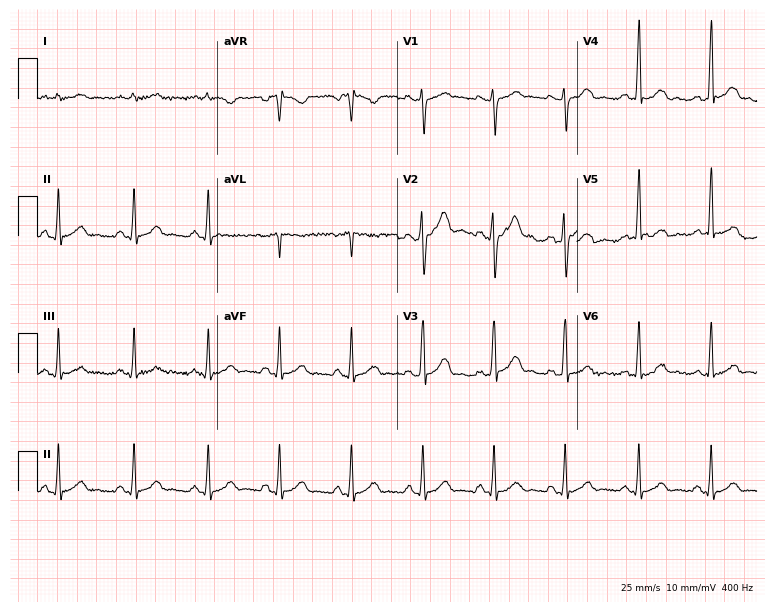
Standard 12-lead ECG recorded from a male, 36 years old (7.3-second recording at 400 Hz). Read as a normal ECG.